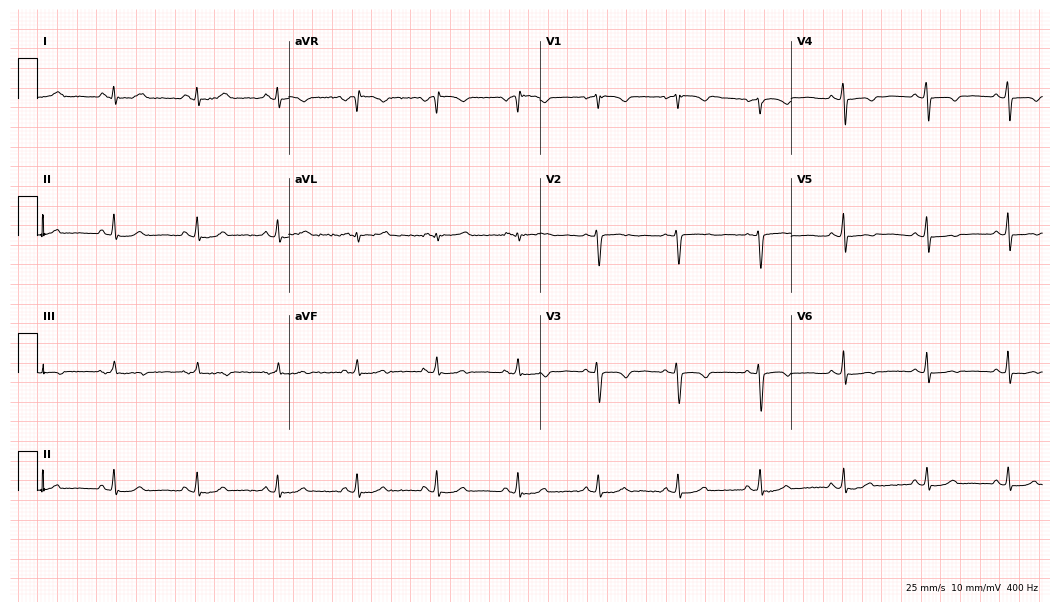
Standard 12-lead ECG recorded from a woman, 45 years old (10.2-second recording at 400 Hz). None of these six findings is recorded: first-degree AV block, right bundle branch block, left bundle branch block, sinus bradycardia, atrial fibrillation, sinus tachycardia. Other findings, if any, are not listed.